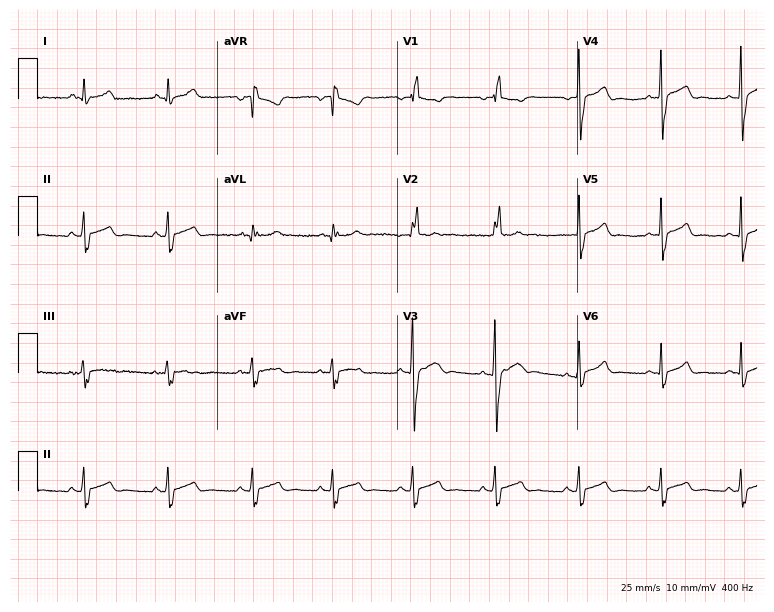
Electrocardiogram (7.3-second recording at 400 Hz), a male patient, 20 years old. Of the six screened findings (first-degree AV block, right bundle branch block (RBBB), left bundle branch block (LBBB), sinus bradycardia, atrial fibrillation (AF), sinus tachycardia), none is recorded.